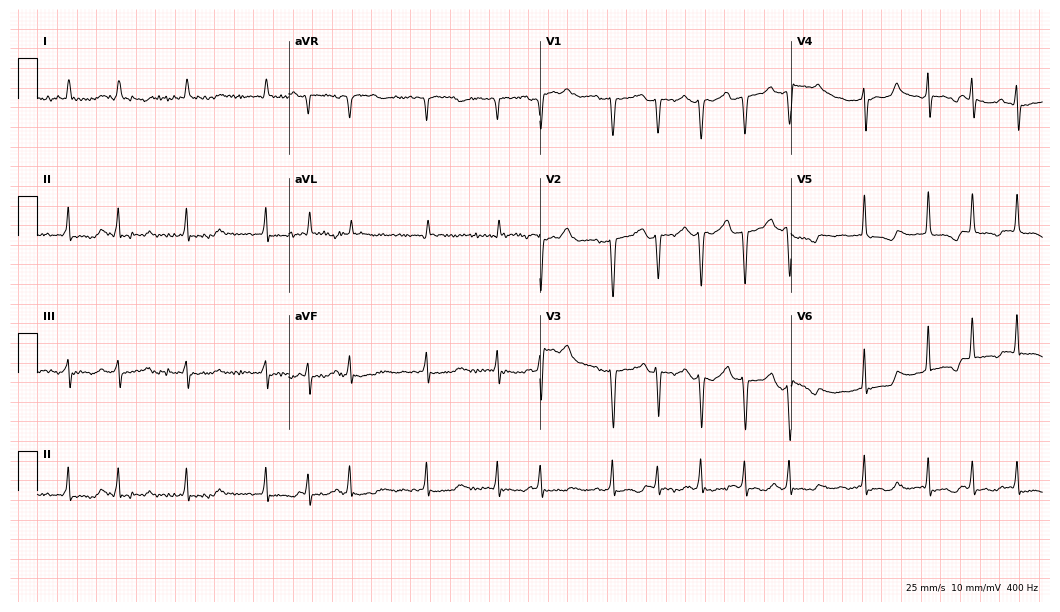
12-lead ECG (10.2-second recording at 400 Hz) from a 72-year-old female patient. Findings include atrial fibrillation (AF).